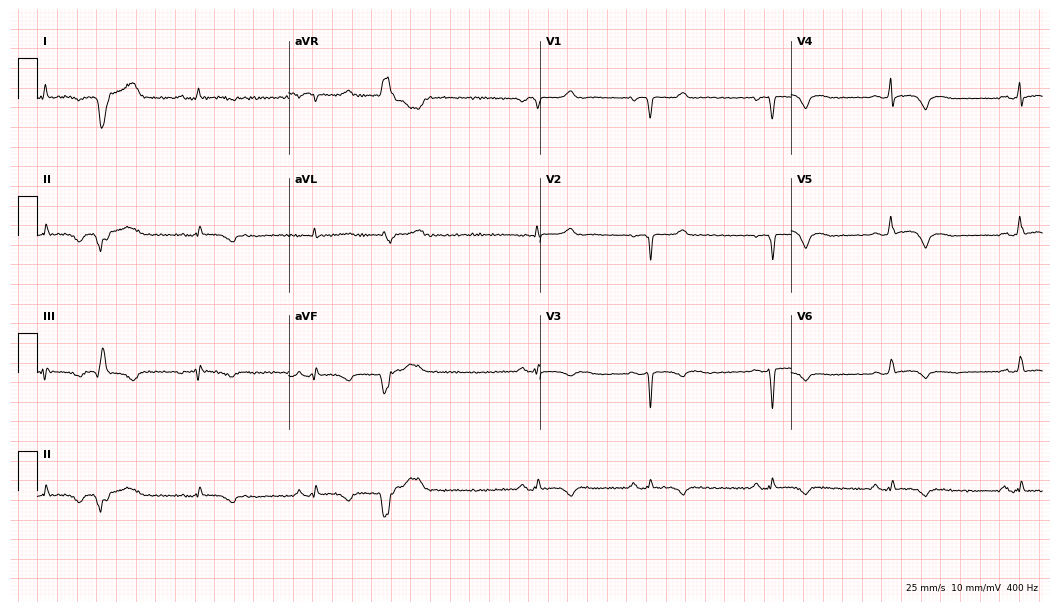
ECG (10.2-second recording at 400 Hz) — a 44-year-old female. Screened for six findings — first-degree AV block, right bundle branch block (RBBB), left bundle branch block (LBBB), sinus bradycardia, atrial fibrillation (AF), sinus tachycardia — none is recorded. Only these six findings were labelled.